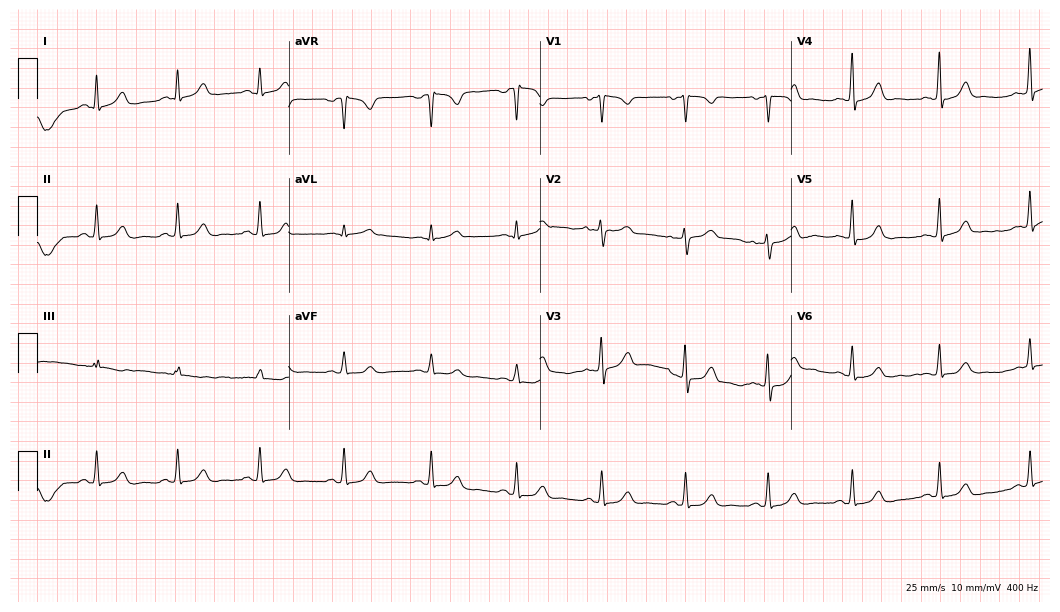
12-lead ECG from a woman, 46 years old. Recorded interpretation: within normal limits.